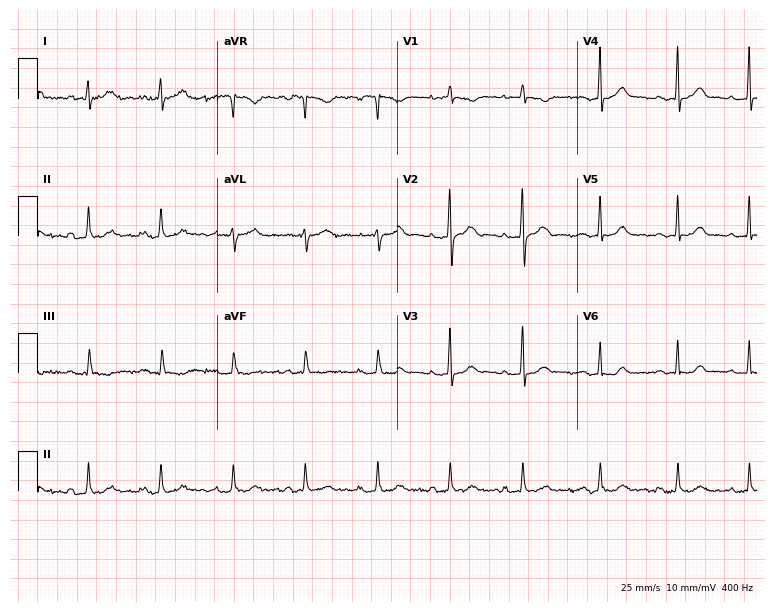
12-lead ECG (7.3-second recording at 400 Hz) from a female patient, 55 years old. Labelled as a normal ECG.